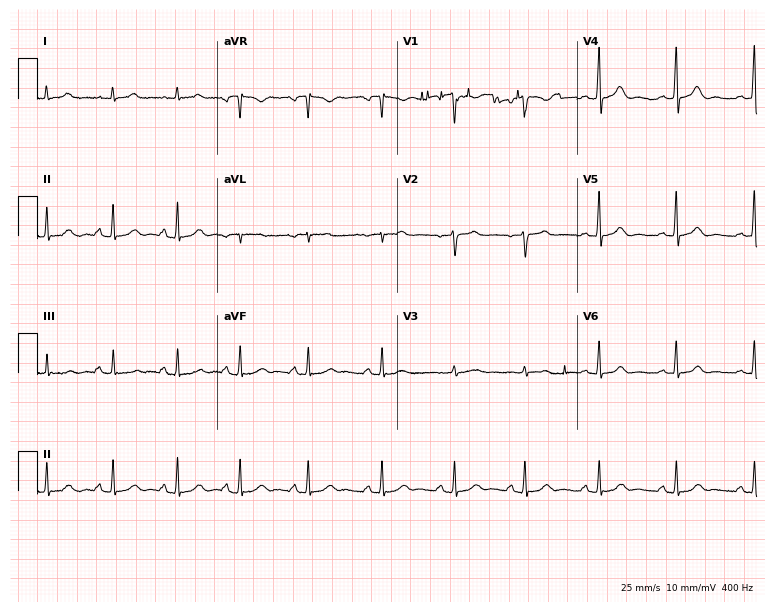
ECG (7.3-second recording at 400 Hz) — a woman, 25 years old. Labelled as a normal ECG.